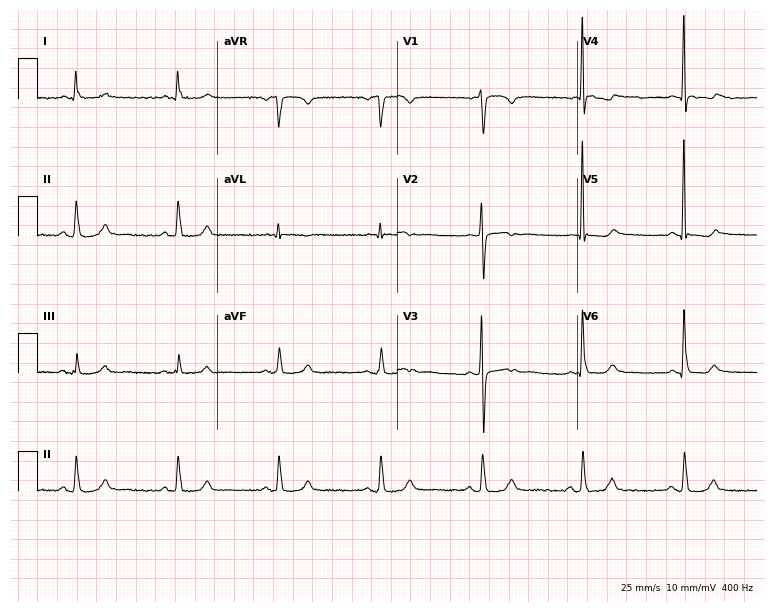
12-lead ECG from a man, 73 years old (7.3-second recording at 400 Hz). No first-degree AV block, right bundle branch block (RBBB), left bundle branch block (LBBB), sinus bradycardia, atrial fibrillation (AF) or sinus tachycardia recorded for this tracing.